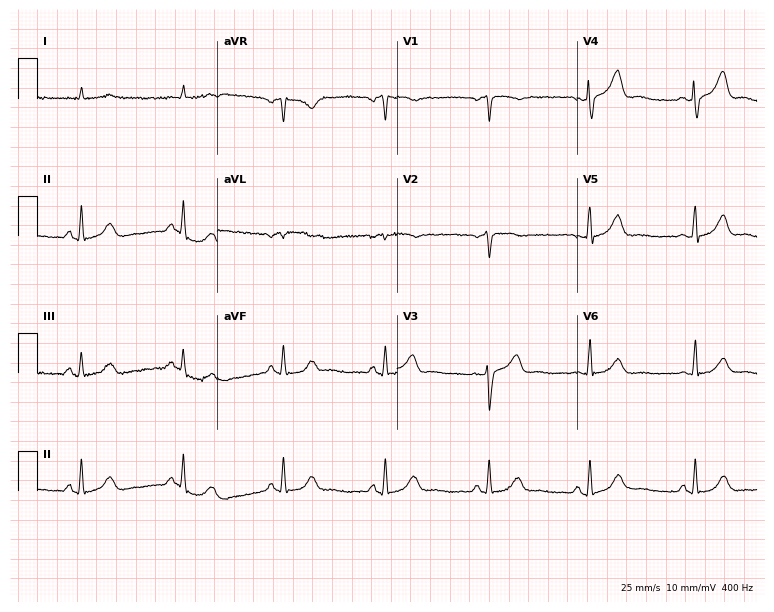
12-lead ECG (7.3-second recording at 400 Hz) from a male patient, 82 years old. Labelled as a normal ECG.